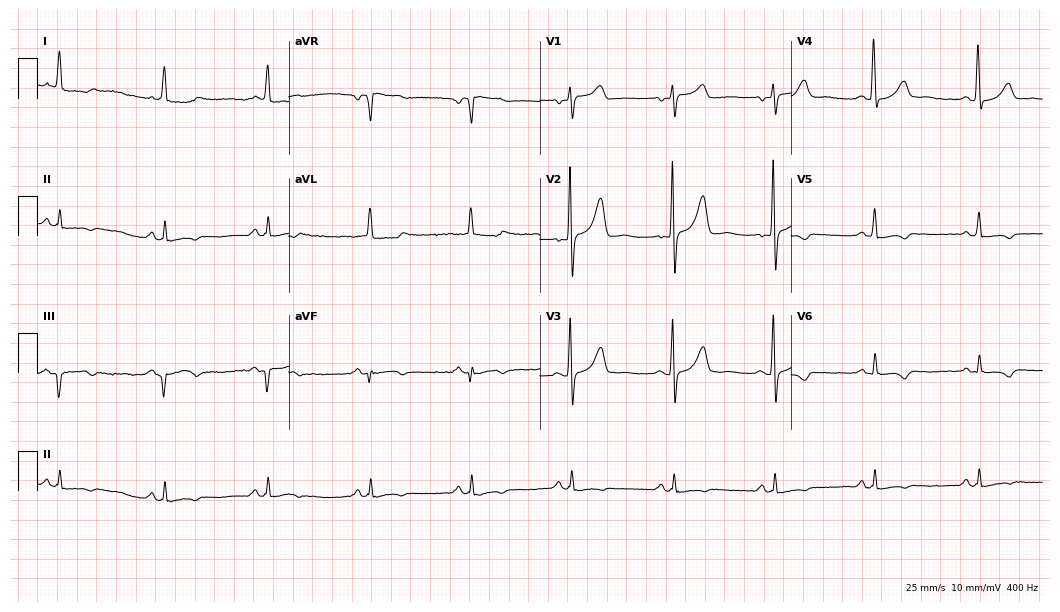
12-lead ECG from a female patient, 50 years old. Screened for six findings — first-degree AV block, right bundle branch block, left bundle branch block, sinus bradycardia, atrial fibrillation, sinus tachycardia — none is recorded. Only these six findings were labelled.